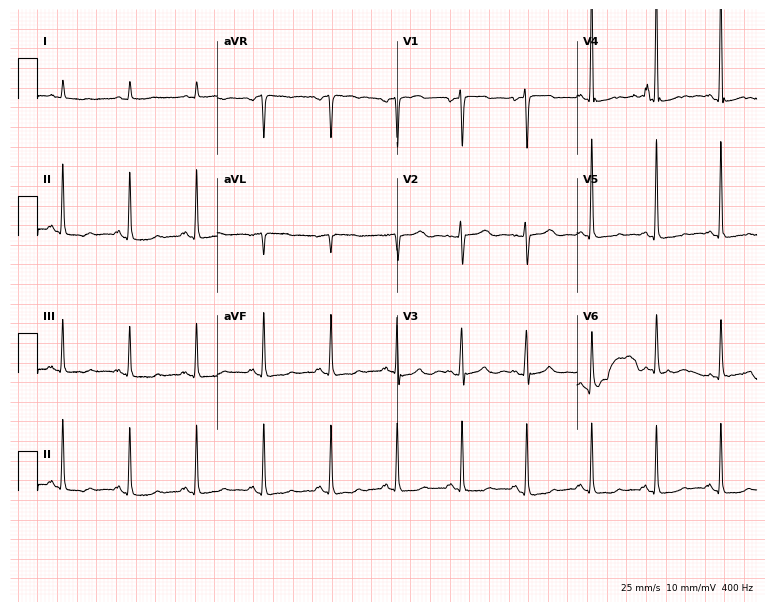
12-lead ECG from a female, 76 years old. Screened for six findings — first-degree AV block, right bundle branch block, left bundle branch block, sinus bradycardia, atrial fibrillation, sinus tachycardia — none is recorded. Only these six findings were labelled.